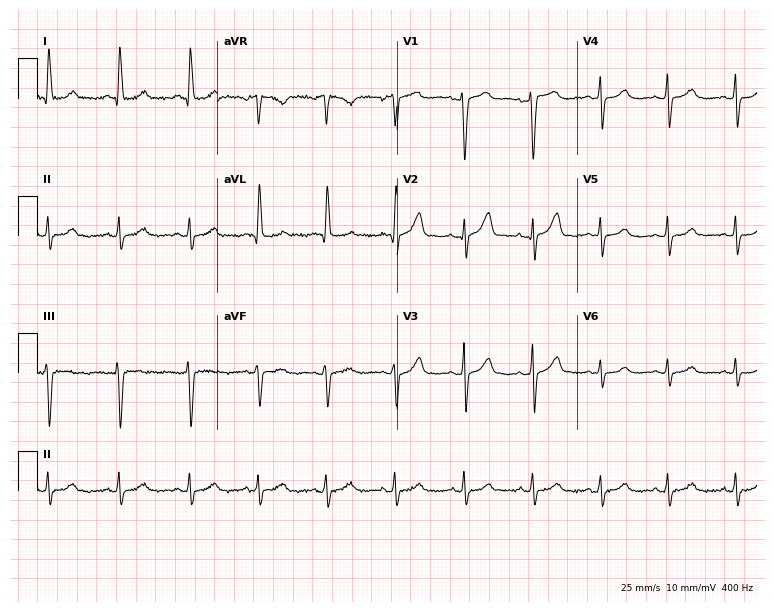
Electrocardiogram (7.3-second recording at 400 Hz), a 51-year-old female. Overall reading on record: normal ECG.